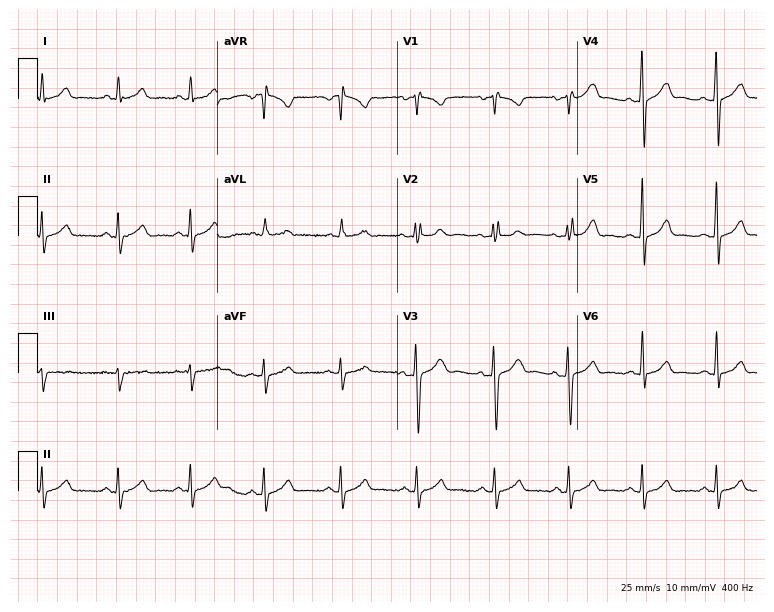
Electrocardiogram, a woman, 29 years old. Overall reading on record: normal ECG.